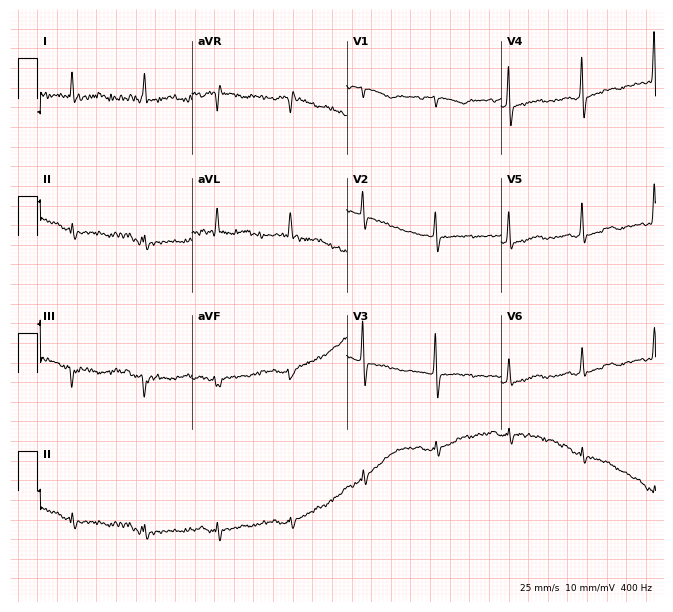
12-lead ECG (6.3-second recording at 400 Hz) from a 69-year-old female. Screened for six findings — first-degree AV block, right bundle branch block (RBBB), left bundle branch block (LBBB), sinus bradycardia, atrial fibrillation (AF), sinus tachycardia — none is recorded.